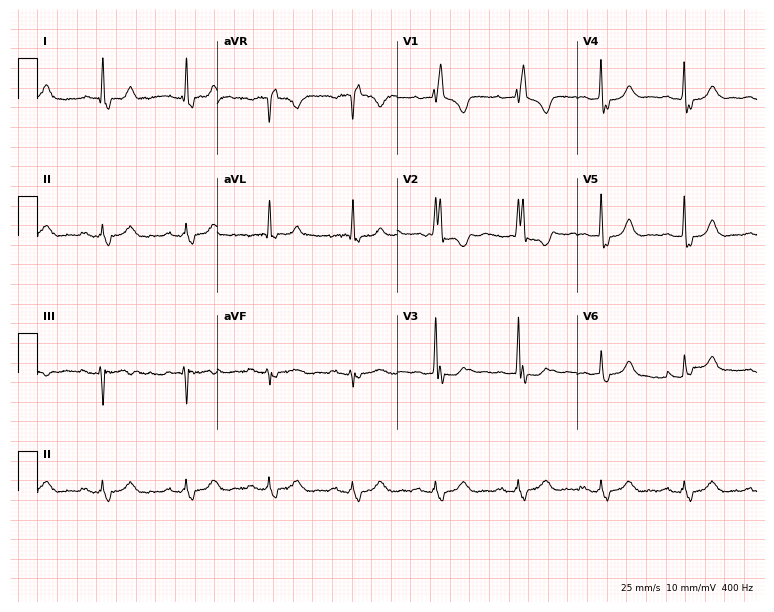
Resting 12-lead electrocardiogram. Patient: a 78-year-old female. The tracing shows right bundle branch block.